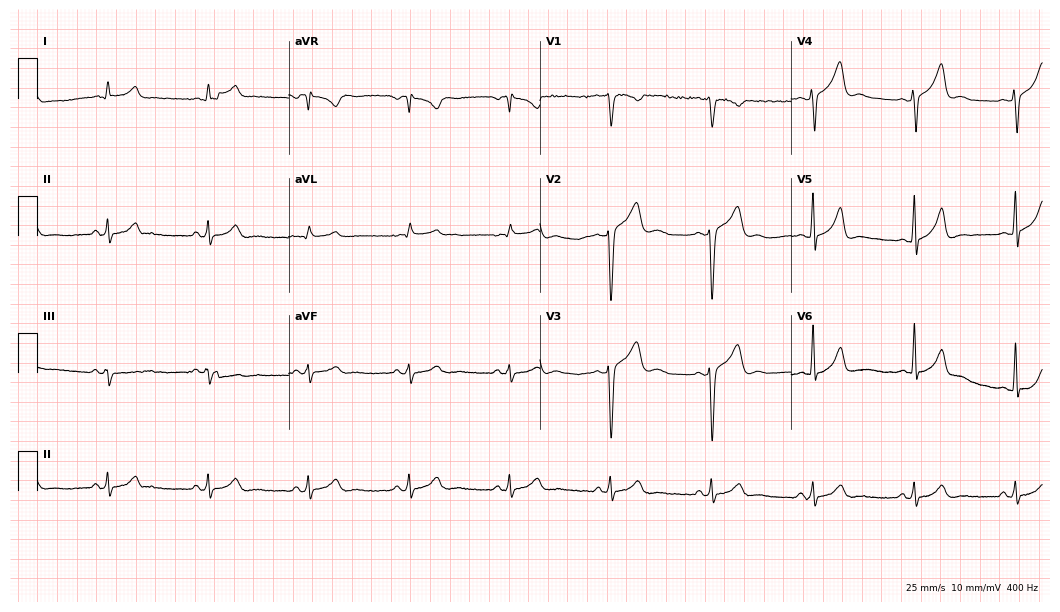
ECG — an 18-year-old male patient. Labelled as a normal ECG.